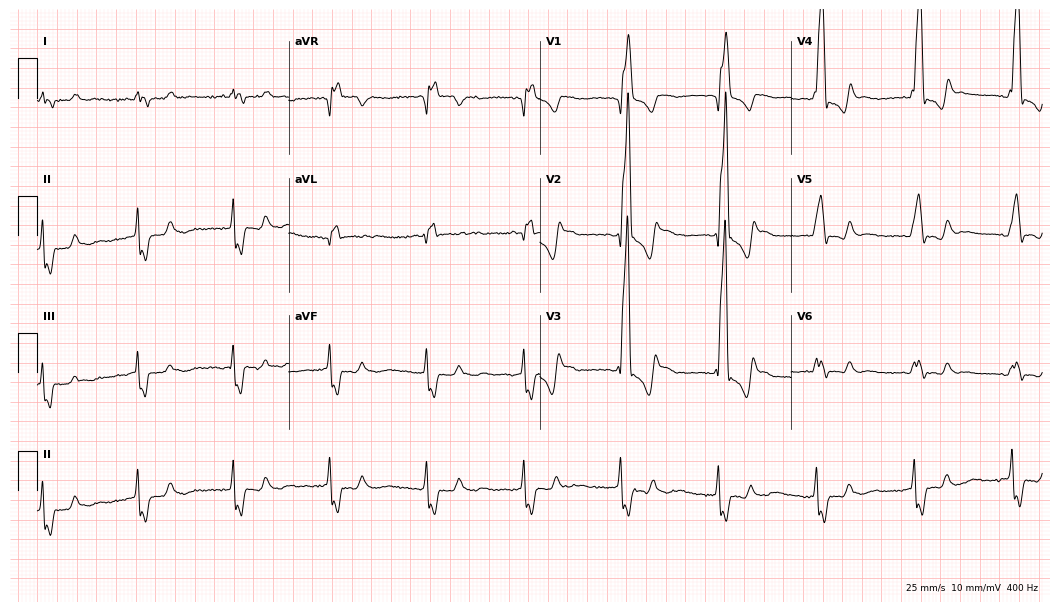
Resting 12-lead electrocardiogram. Patient: a 29-year-old man. The tracing shows right bundle branch block.